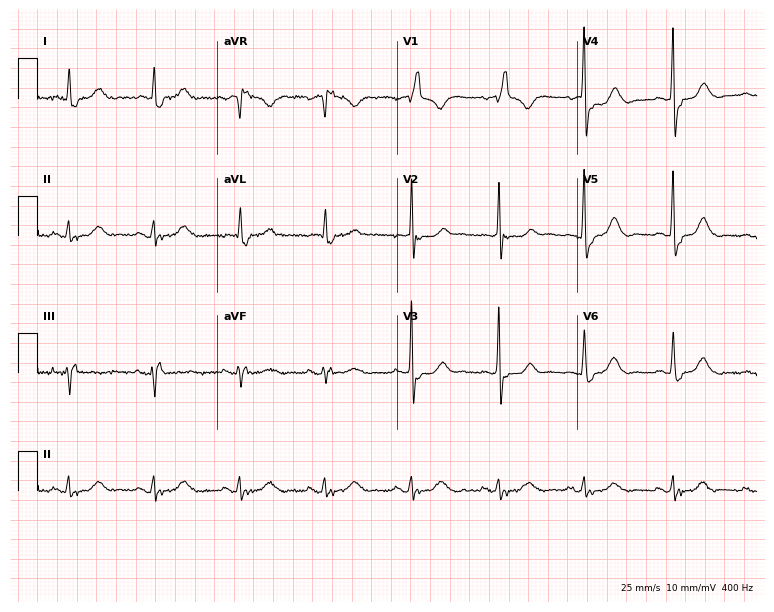
Electrocardiogram, an 83-year-old female patient. Interpretation includes right bundle branch block.